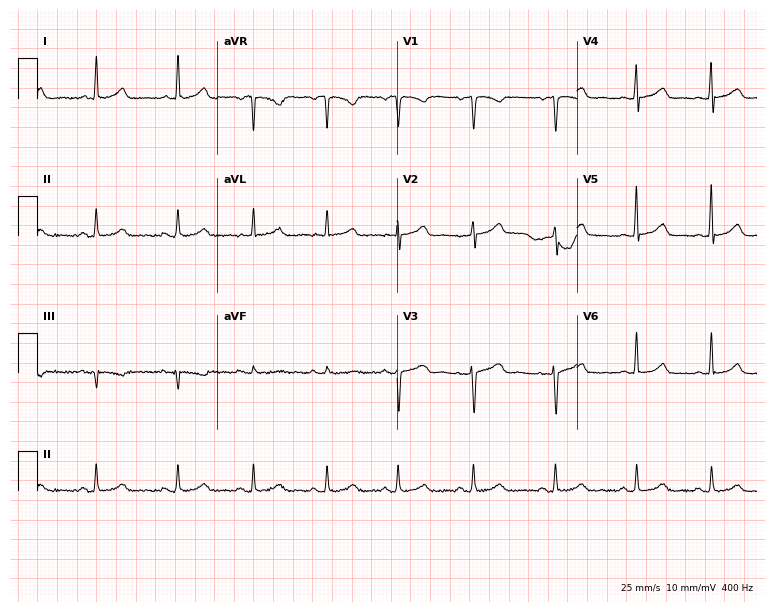
12-lead ECG from a 33-year-old woman. Labelled as a normal ECG.